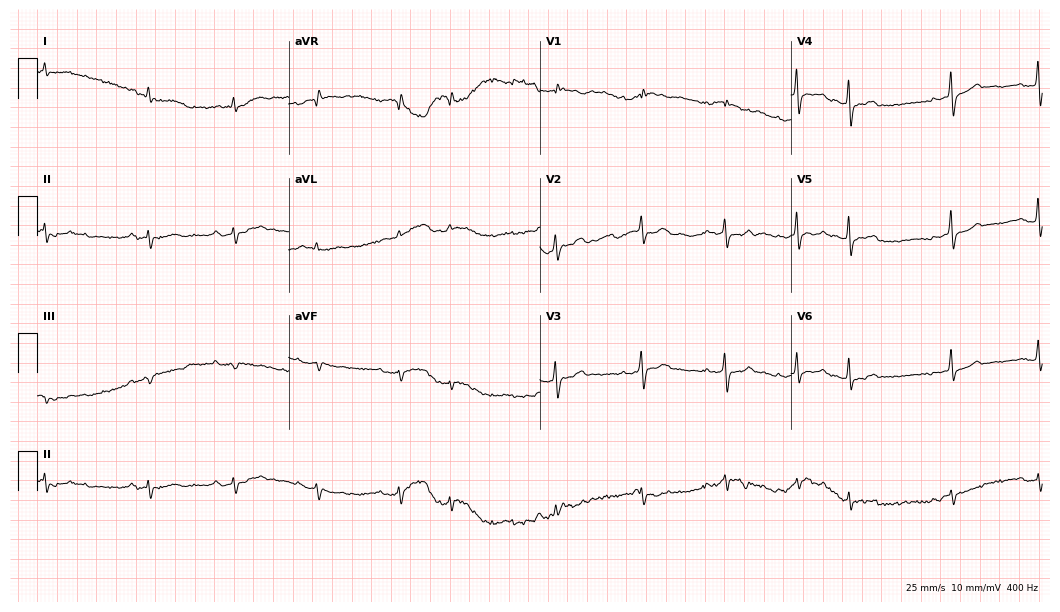
Electrocardiogram (10.2-second recording at 400 Hz), a man, 79 years old. Of the six screened findings (first-degree AV block, right bundle branch block (RBBB), left bundle branch block (LBBB), sinus bradycardia, atrial fibrillation (AF), sinus tachycardia), none is recorded.